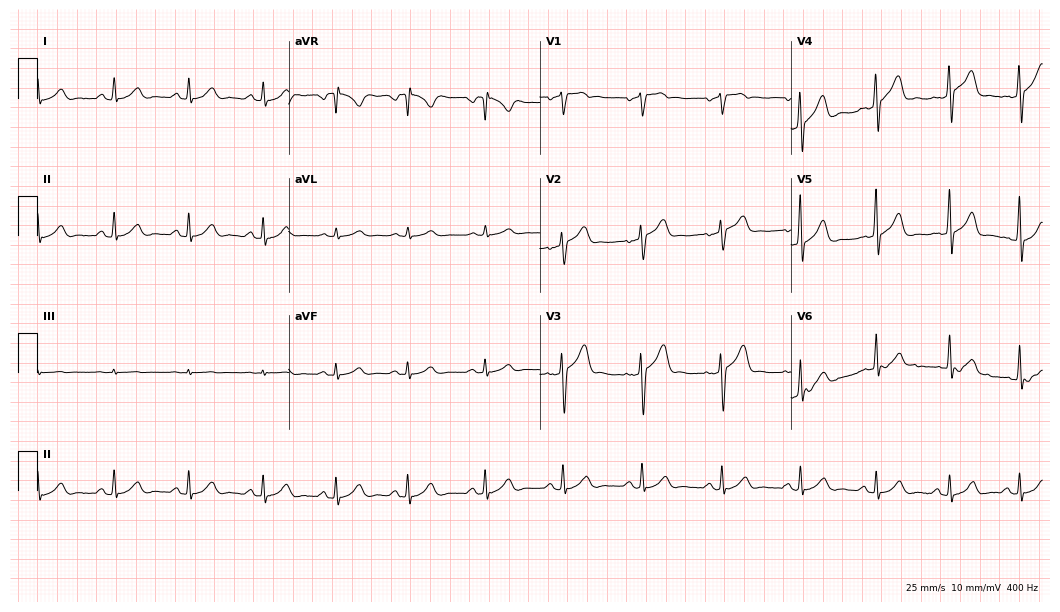
12-lead ECG from a 55-year-old male patient (10.2-second recording at 400 Hz). Recorded interpretation: within normal limits.